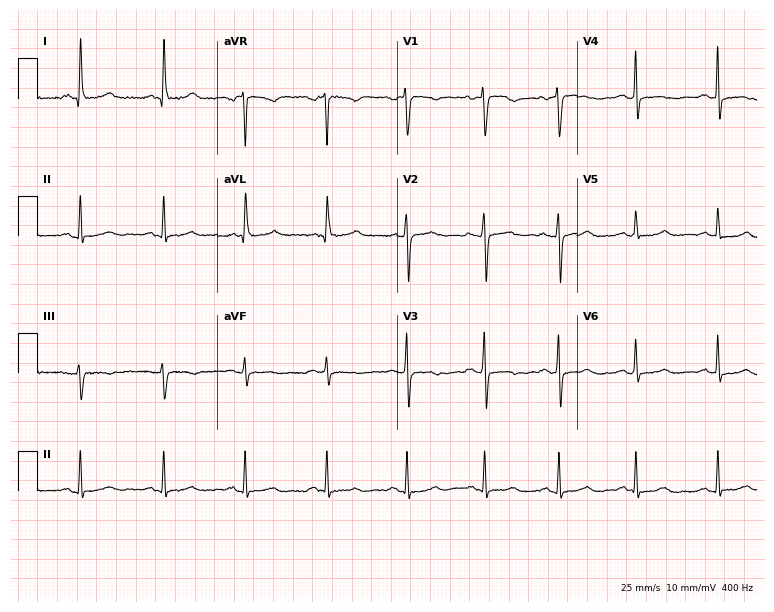
12-lead ECG (7.3-second recording at 400 Hz) from a 61-year-old woman. Screened for six findings — first-degree AV block, right bundle branch block, left bundle branch block, sinus bradycardia, atrial fibrillation, sinus tachycardia — none is recorded.